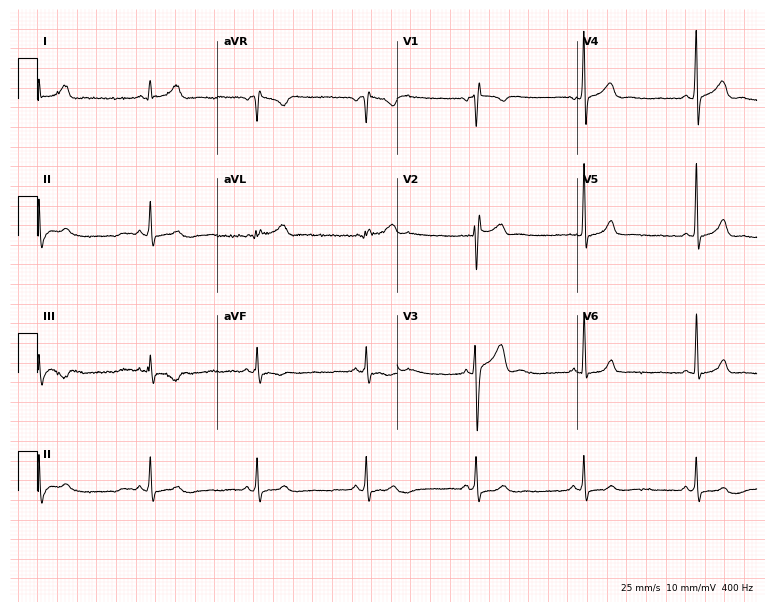
Resting 12-lead electrocardiogram. Patient: a male, 19 years old. None of these six findings is recorded: first-degree AV block, right bundle branch block, left bundle branch block, sinus bradycardia, atrial fibrillation, sinus tachycardia. Other findings, if any, are not listed.